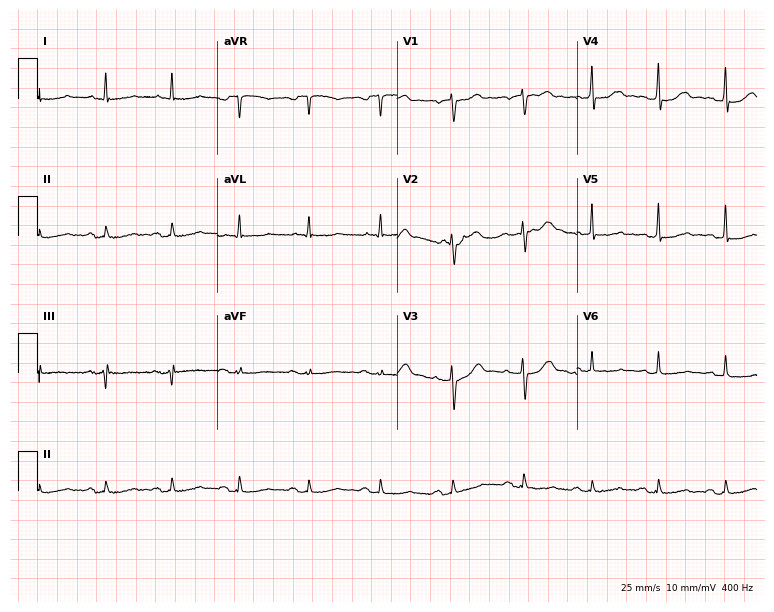
Resting 12-lead electrocardiogram. Patient: a 74-year-old woman. None of these six findings is recorded: first-degree AV block, right bundle branch block (RBBB), left bundle branch block (LBBB), sinus bradycardia, atrial fibrillation (AF), sinus tachycardia. Other findings, if any, are not listed.